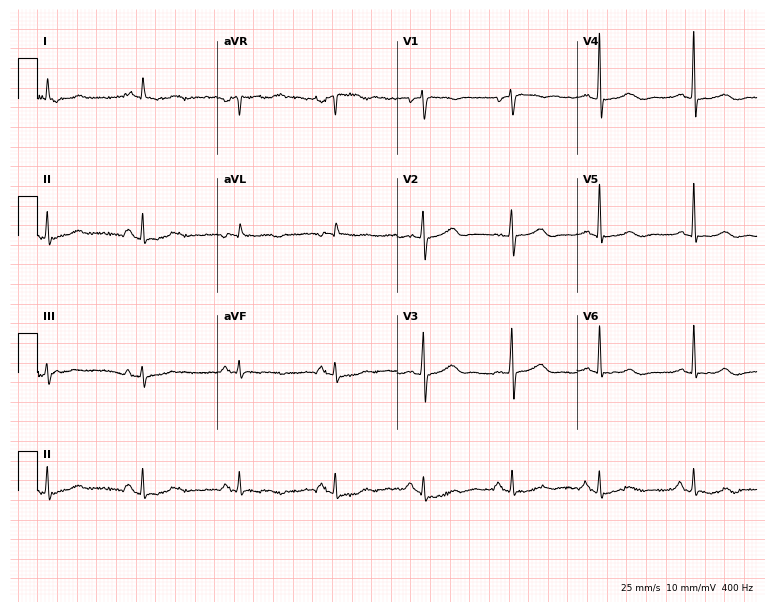
12-lead ECG from a 69-year-old woman (7.3-second recording at 400 Hz). No first-degree AV block, right bundle branch block, left bundle branch block, sinus bradycardia, atrial fibrillation or sinus tachycardia recorded for this tracing.